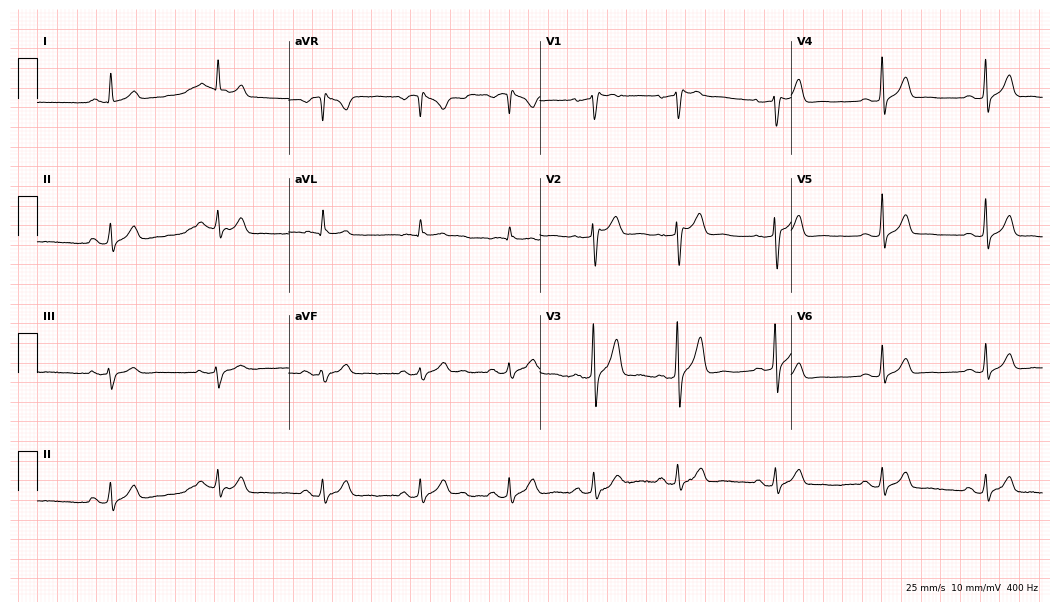
12-lead ECG (10.2-second recording at 400 Hz) from a male patient, 50 years old. Labelled as a normal ECG.